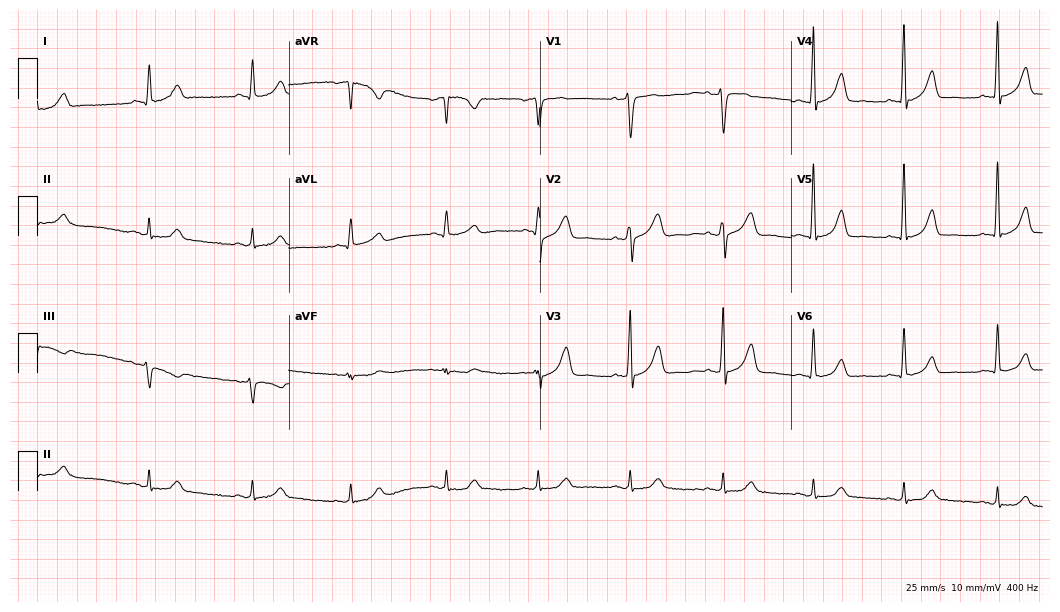
12-lead ECG from a male, 52 years old. Labelled as a normal ECG.